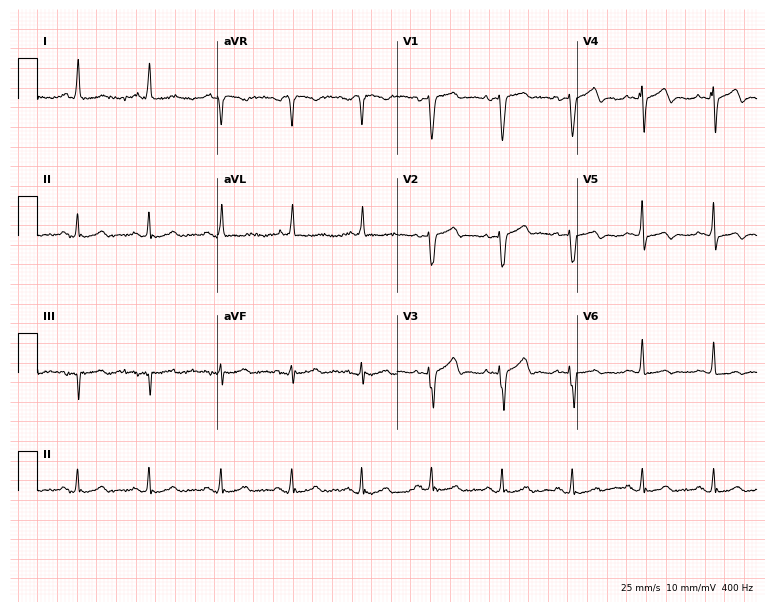
Resting 12-lead electrocardiogram (7.3-second recording at 400 Hz). Patient: a female, 65 years old. None of these six findings is recorded: first-degree AV block, right bundle branch block, left bundle branch block, sinus bradycardia, atrial fibrillation, sinus tachycardia.